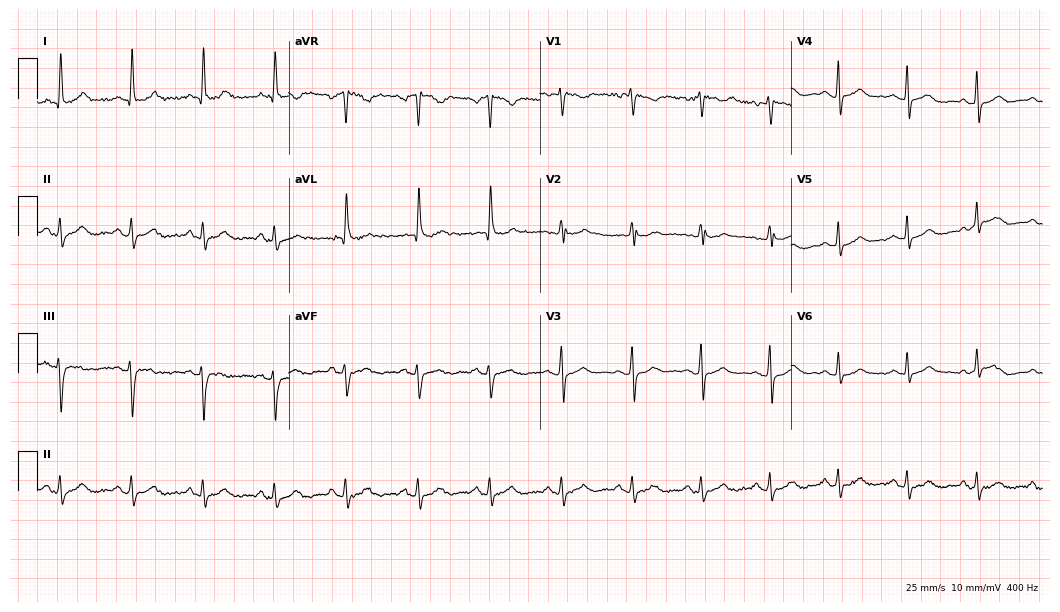
Electrocardiogram (10.2-second recording at 400 Hz), a 50-year-old female. Overall reading on record: normal ECG.